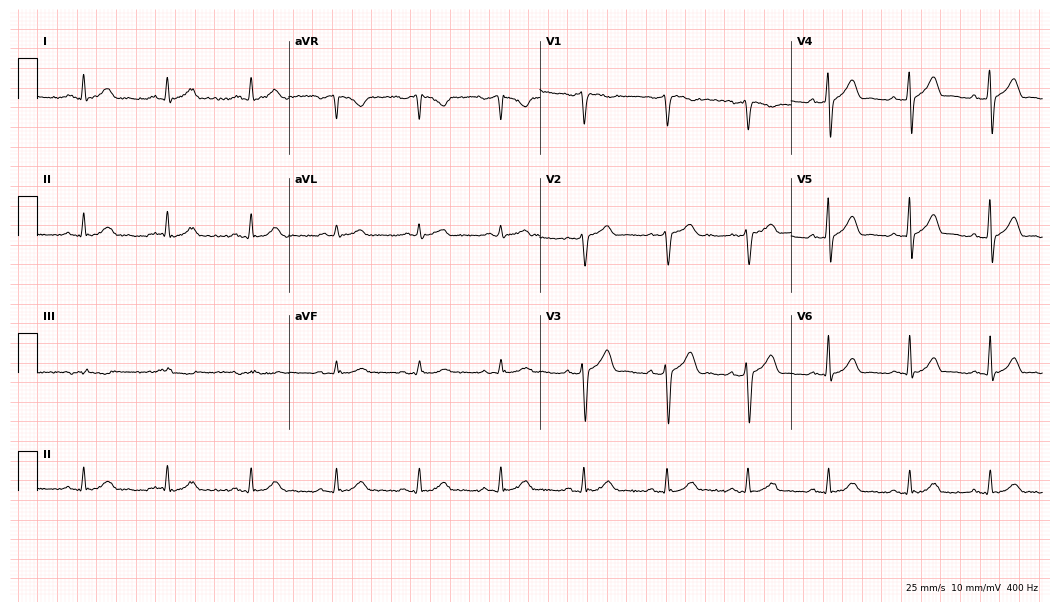
Standard 12-lead ECG recorded from a male patient, 63 years old. Read as a normal ECG.